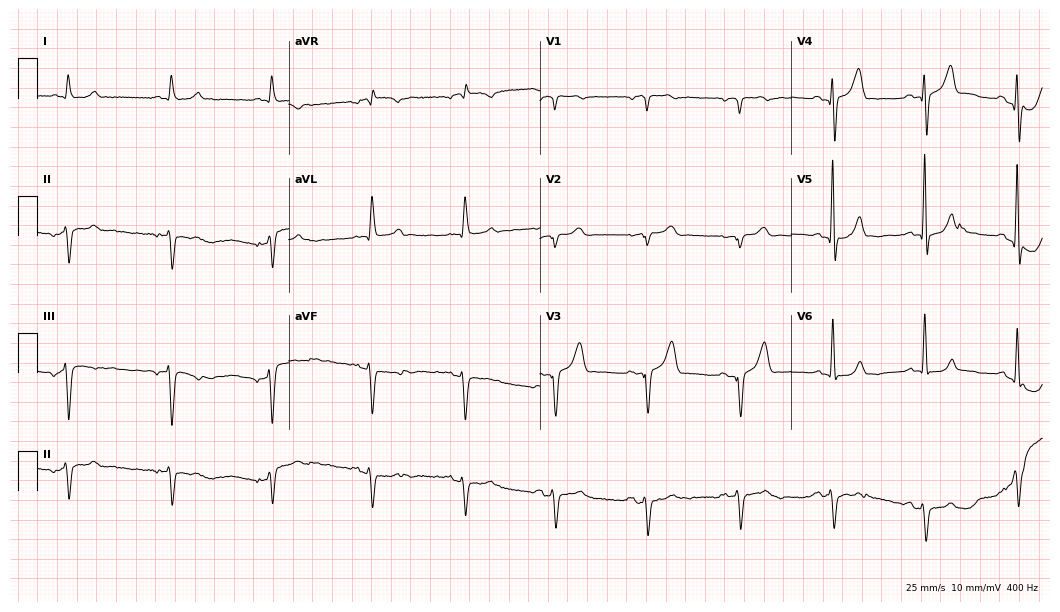
Electrocardiogram, a male patient, 82 years old. Of the six screened findings (first-degree AV block, right bundle branch block, left bundle branch block, sinus bradycardia, atrial fibrillation, sinus tachycardia), none is recorded.